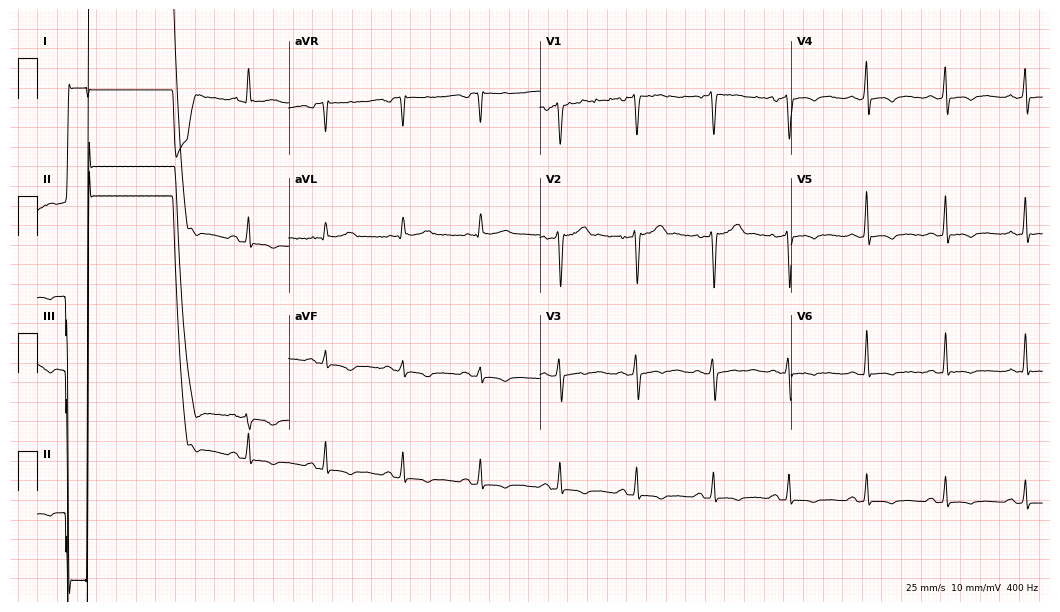
ECG (10.2-second recording at 400 Hz) — a 49-year-old male. Screened for six findings — first-degree AV block, right bundle branch block, left bundle branch block, sinus bradycardia, atrial fibrillation, sinus tachycardia — none is recorded.